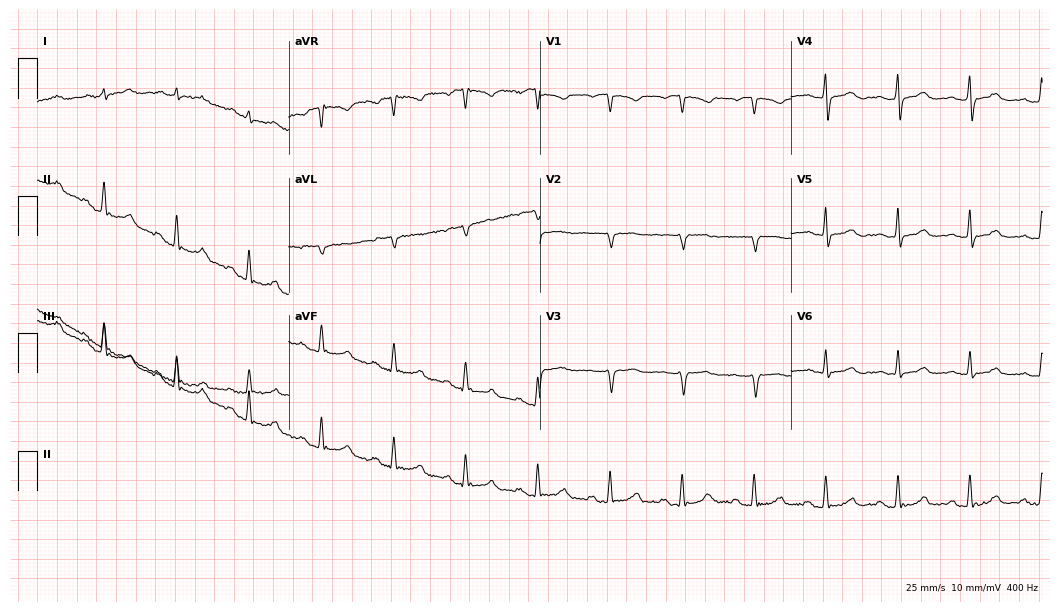
Resting 12-lead electrocardiogram (10.2-second recording at 400 Hz). Patient: a 59-year-old female. None of these six findings is recorded: first-degree AV block, right bundle branch block (RBBB), left bundle branch block (LBBB), sinus bradycardia, atrial fibrillation (AF), sinus tachycardia.